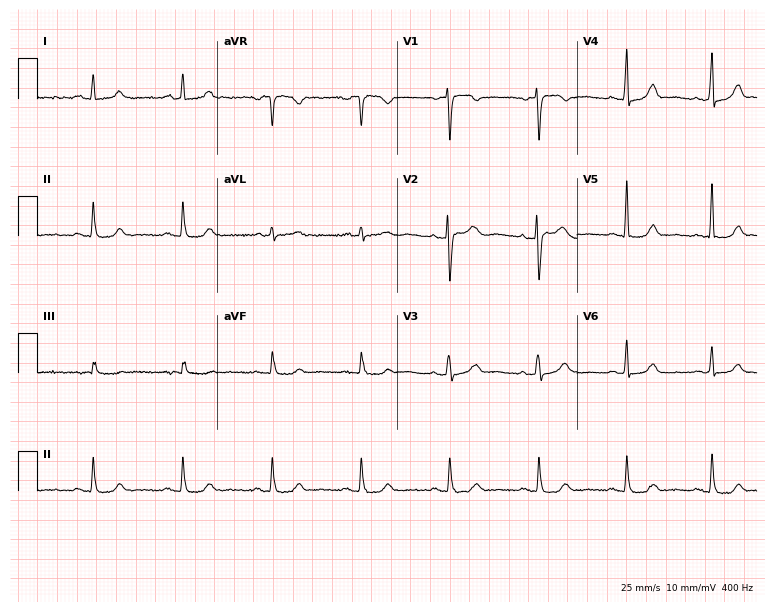
ECG — a 51-year-old female. Screened for six findings — first-degree AV block, right bundle branch block (RBBB), left bundle branch block (LBBB), sinus bradycardia, atrial fibrillation (AF), sinus tachycardia — none is recorded.